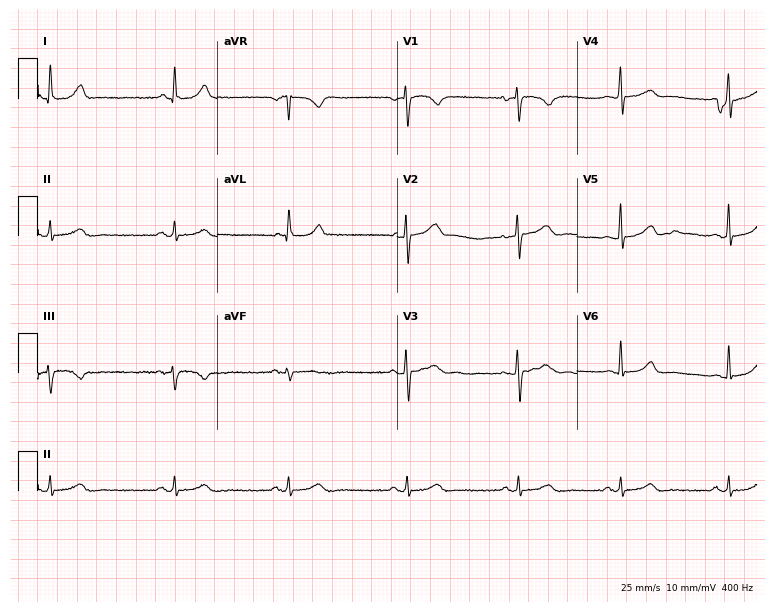
12-lead ECG from a female patient, 43 years old (7.3-second recording at 400 Hz). Recorded interpretation: within normal limits.